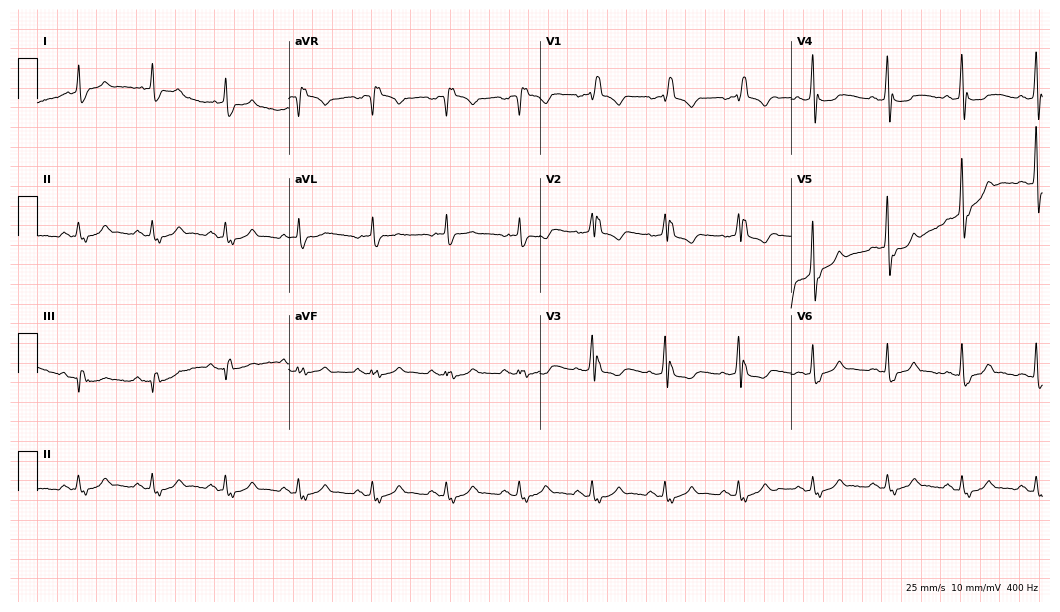
12-lead ECG from a male, 83 years old (10.2-second recording at 400 Hz). Shows right bundle branch block (RBBB).